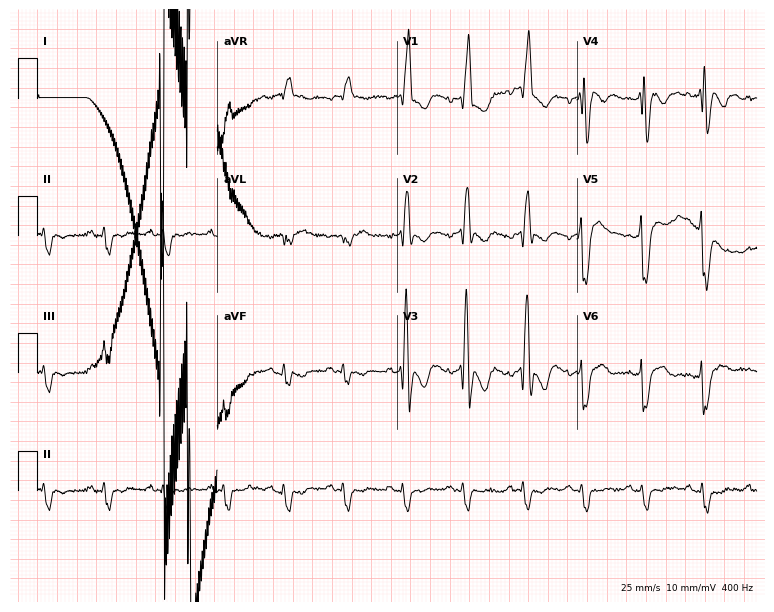
12-lead ECG from a male patient, 65 years old (7.3-second recording at 400 Hz). Shows right bundle branch block.